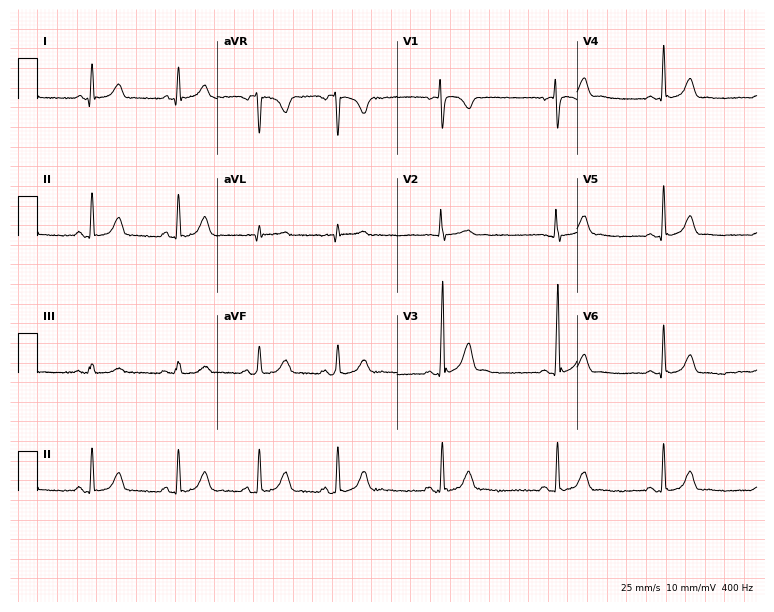
ECG — a woman, 33 years old. Labelled as a normal ECG.